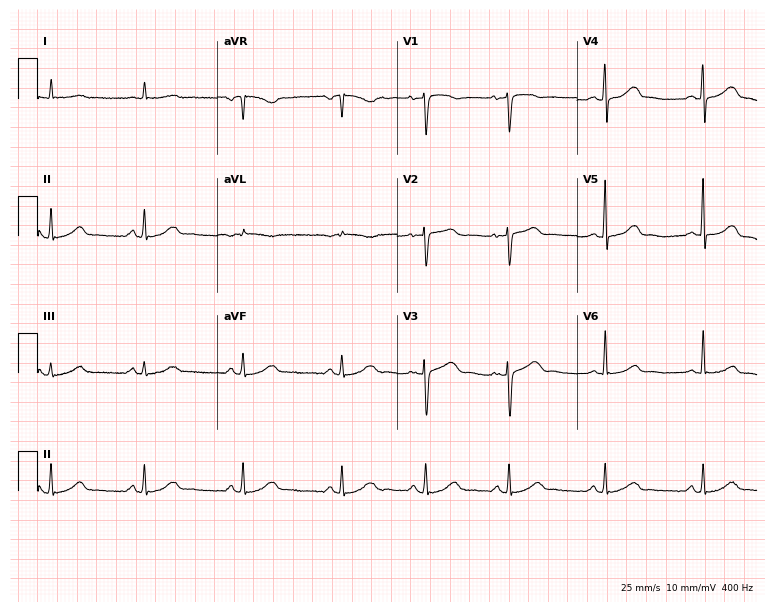
12-lead ECG from a female, 56 years old. Recorded interpretation: within normal limits.